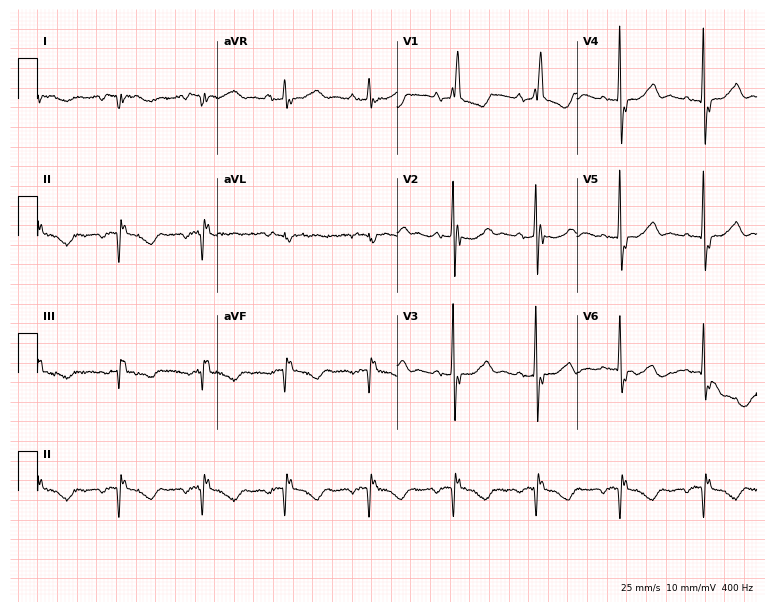
Electrocardiogram (7.3-second recording at 400 Hz), a 78-year-old female patient. Of the six screened findings (first-degree AV block, right bundle branch block, left bundle branch block, sinus bradycardia, atrial fibrillation, sinus tachycardia), none is recorded.